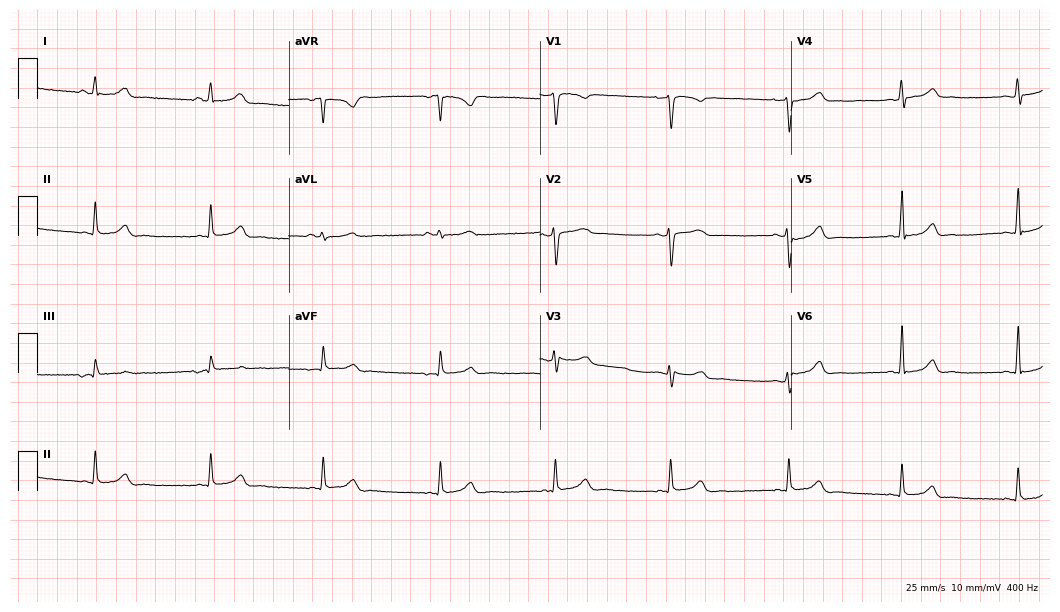
Standard 12-lead ECG recorded from a 39-year-old female. Read as a normal ECG.